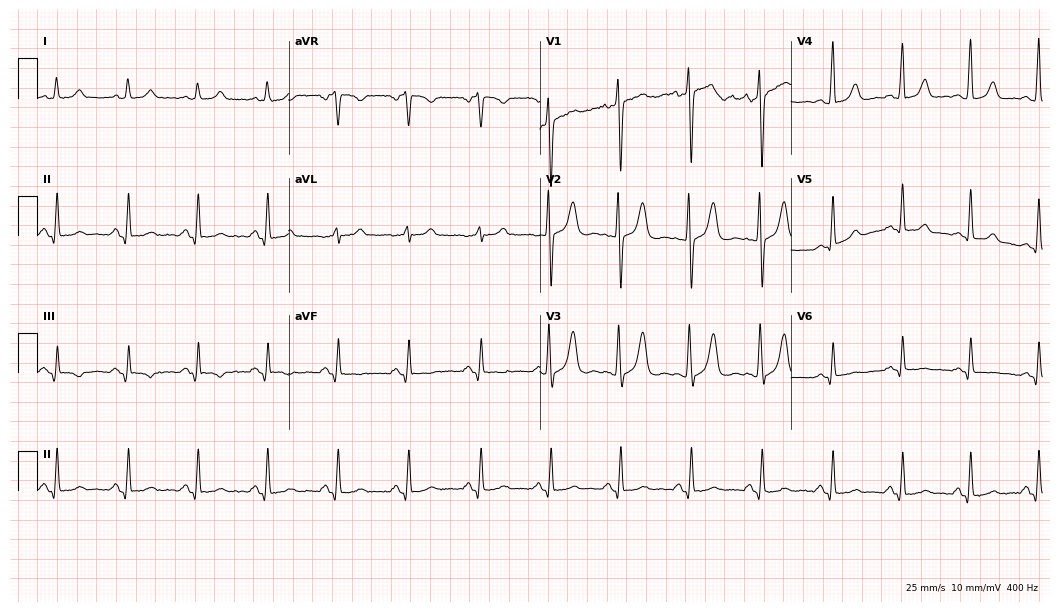
12-lead ECG (10.2-second recording at 400 Hz) from a man, 37 years old. Labelled as a normal ECG.